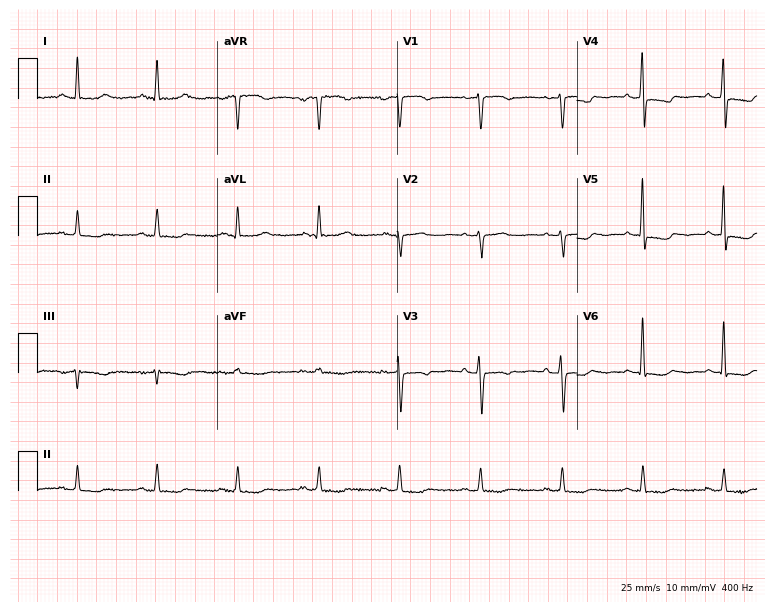
Resting 12-lead electrocardiogram (7.3-second recording at 400 Hz). Patient: a 59-year-old female. None of these six findings is recorded: first-degree AV block, right bundle branch block (RBBB), left bundle branch block (LBBB), sinus bradycardia, atrial fibrillation (AF), sinus tachycardia. Findings outside these six are not listed.